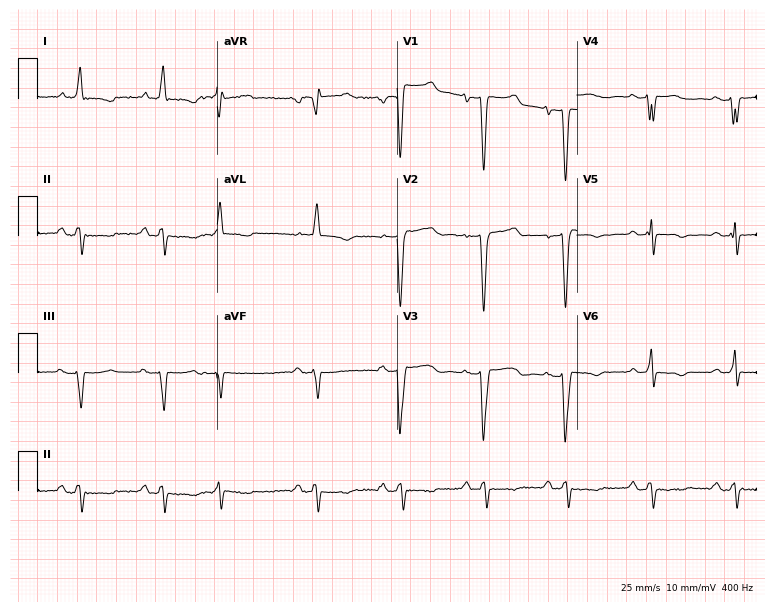
12-lead ECG from a male, 73 years old. Shows left bundle branch block.